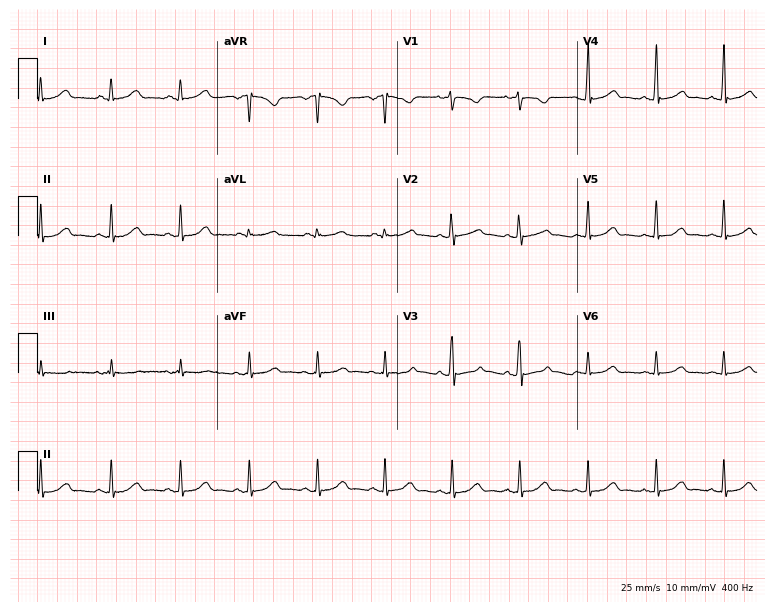
ECG (7.3-second recording at 400 Hz) — a 37-year-old woman. Labelled as a normal ECG.